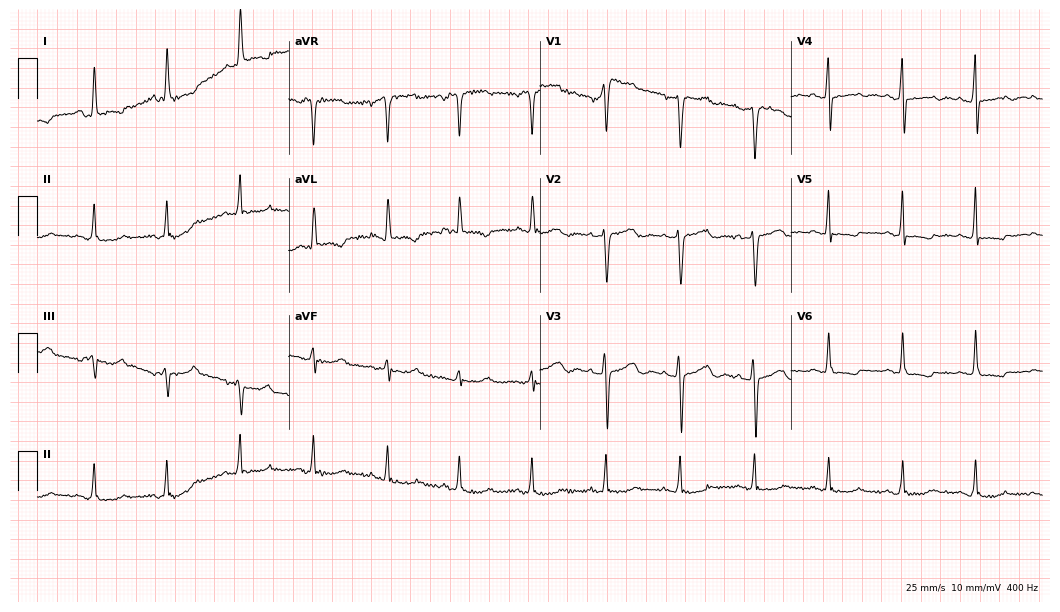
12-lead ECG from a female patient, 58 years old. Screened for six findings — first-degree AV block, right bundle branch block (RBBB), left bundle branch block (LBBB), sinus bradycardia, atrial fibrillation (AF), sinus tachycardia — none is recorded.